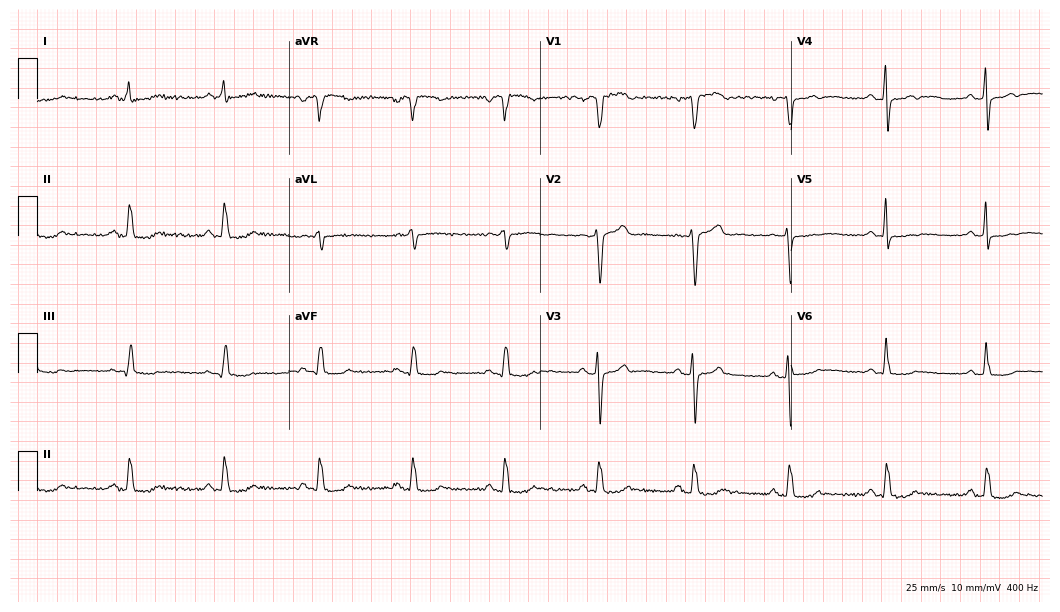
Resting 12-lead electrocardiogram (10.2-second recording at 400 Hz). Patient: a man, 47 years old. None of these six findings is recorded: first-degree AV block, right bundle branch block, left bundle branch block, sinus bradycardia, atrial fibrillation, sinus tachycardia. Only these six findings were labelled.